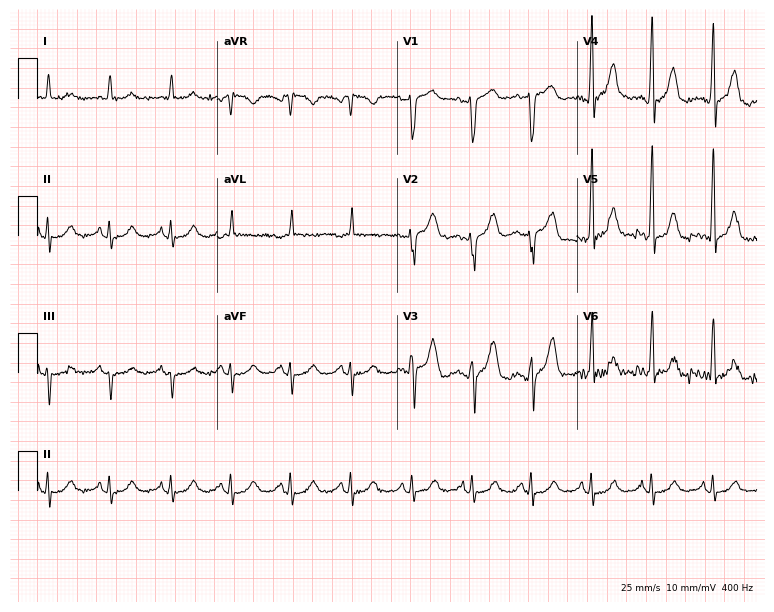
12-lead ECG from a 79-year-old male patient. Labelled as a normal ECG.